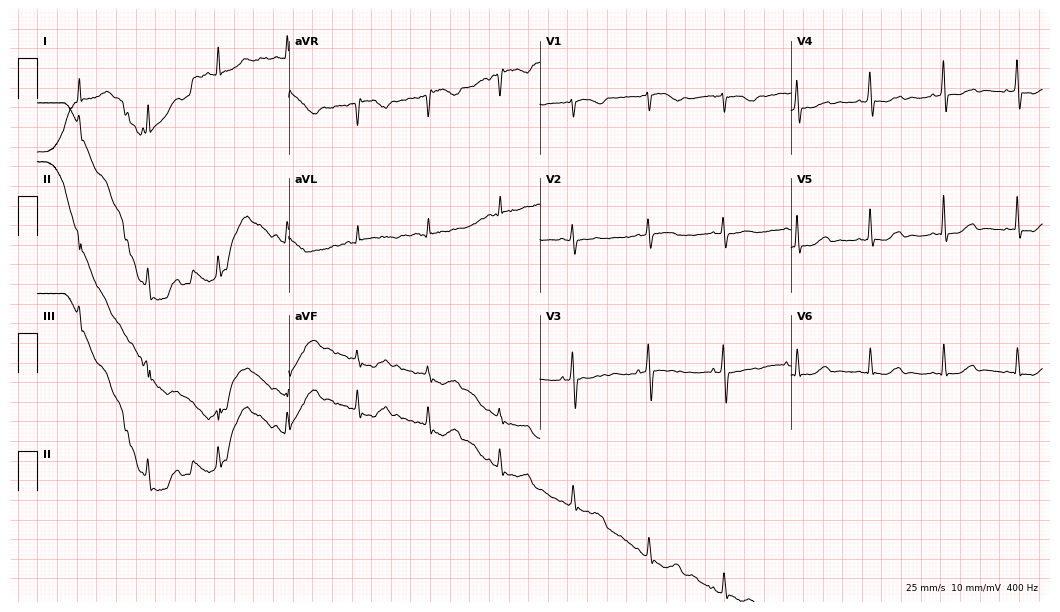
ECG (10.2-second recording at 400 Hz) — a female patient, 77 years old. Screened for six findings — first-degree AV block, right bundle branch block, left bundle branch block, sinus bradycardia, atrial fibrillation, sinus tachycardia — none is recorded.